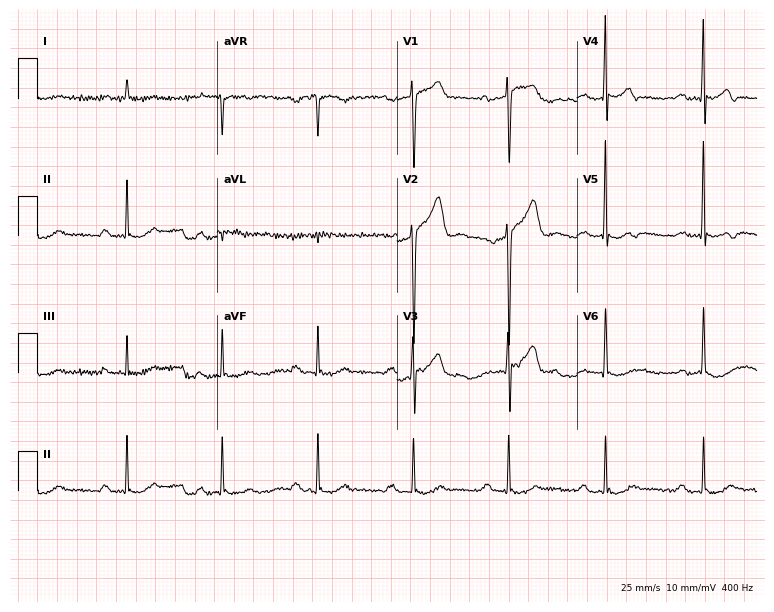
Standard 12-lead ECG recorded from a male, 76 years old (7.3-second recording at 400 Hz). None of these six findings is recorded: first-degree AV block, right bundle branch block, left bundle branch block, sinus bradycardia, atrial fibrillation, sinus tachycardia.